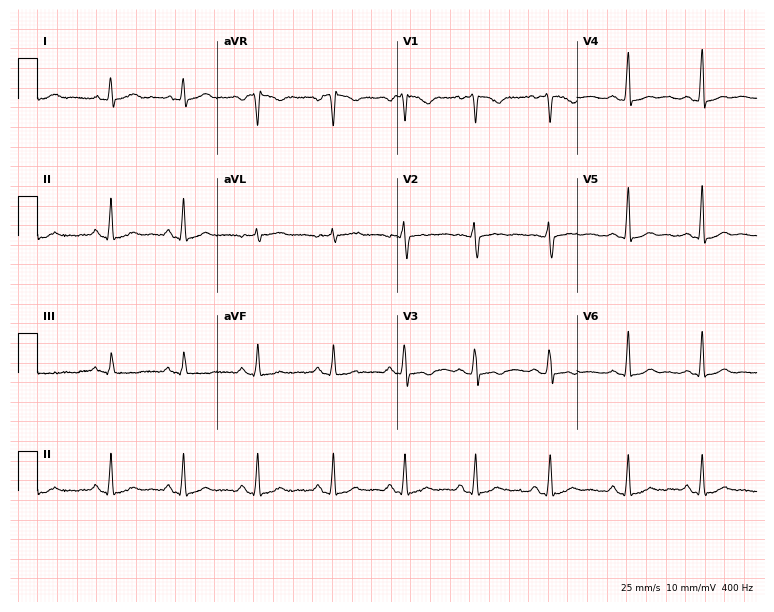
Standard 12-lead ECG recorded from a 27-year-old female. None of these six findings is recorded: first-degree AV block, right bundle branch block, left bundle branch block, sinus bradycardia, atrial fibrillation, sinus tachycardia. Only these six findings were labelled.